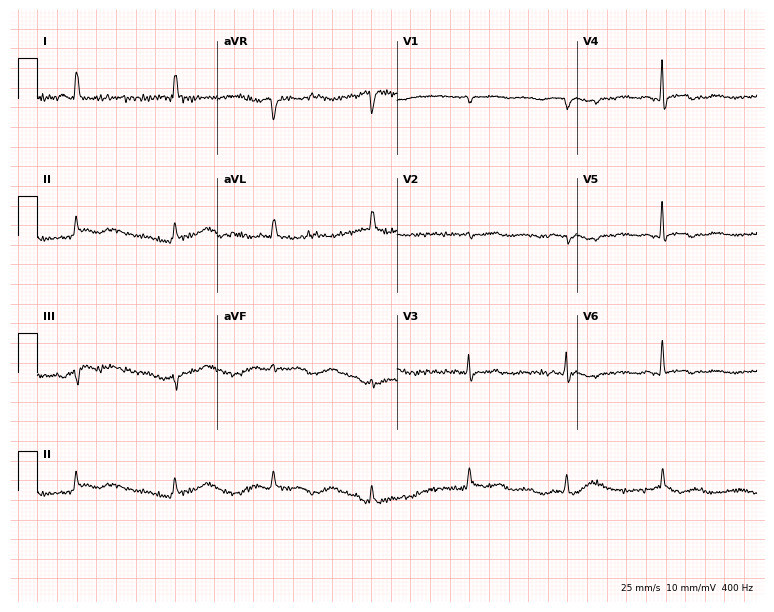
Resting 12-lead electrocardiogram. Patient: an 84-year-old female. None of these six findings is recorded: first-degree AV block, right bundle branch block, left bundle branch block, sinus bradycardia, atrial fibrillation, sinus tachycardia.